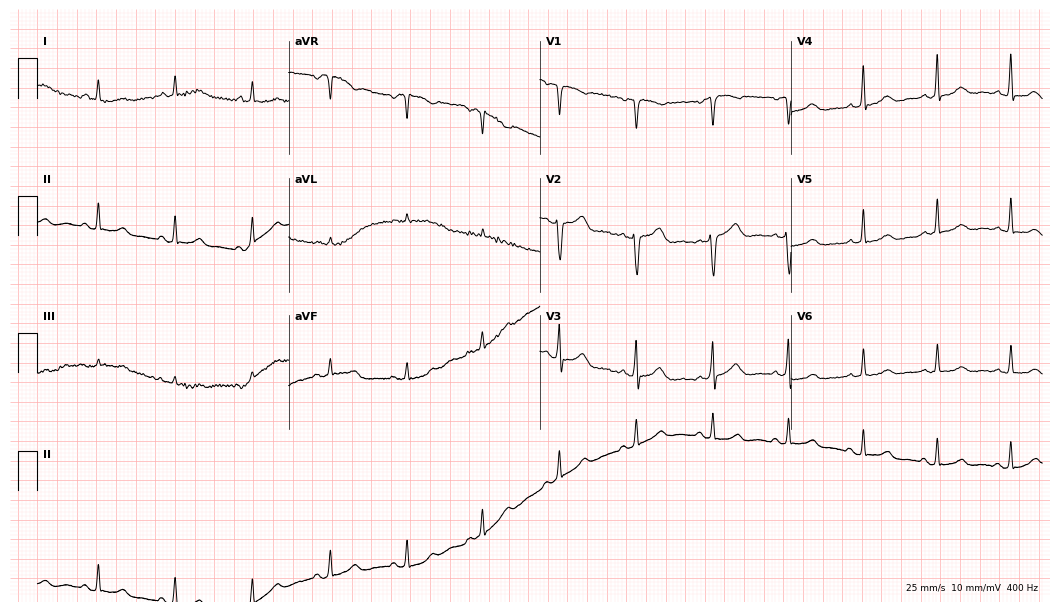
12-lead ECG from a 62-year-old female patient. Recorded interpretation: within normal limits.